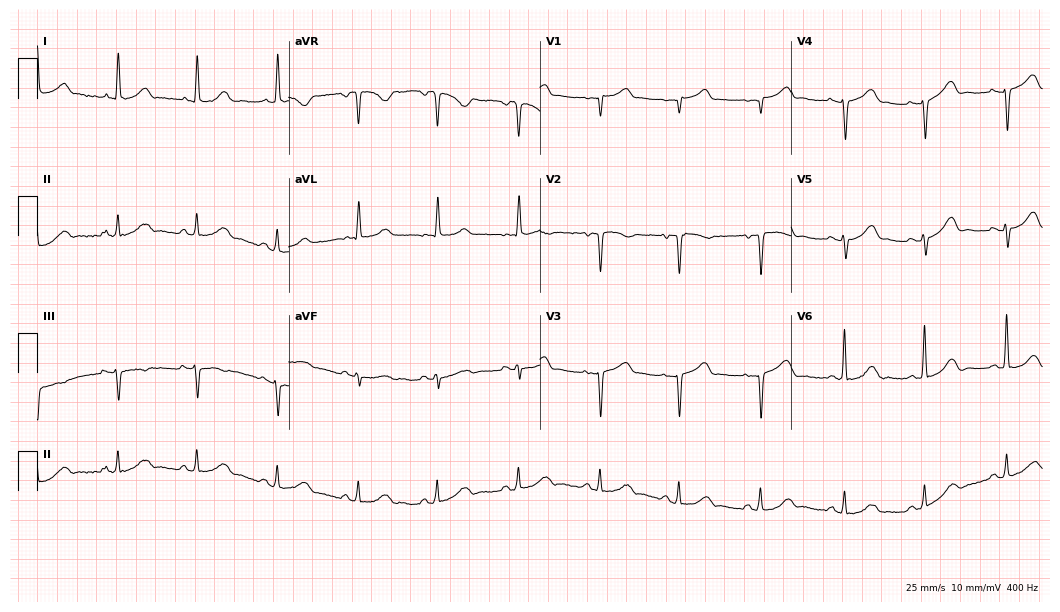
Electrocardiogram, a female, 86 years old. Of the six screened findings (first-degree AV block, right bundle branch block (RBBB), left bundle branch block (LBBB), sinus bradycardia, atrial fibrillation (AF), sinus tachycardia), none is recorded. Other findings, if any, are not listed.